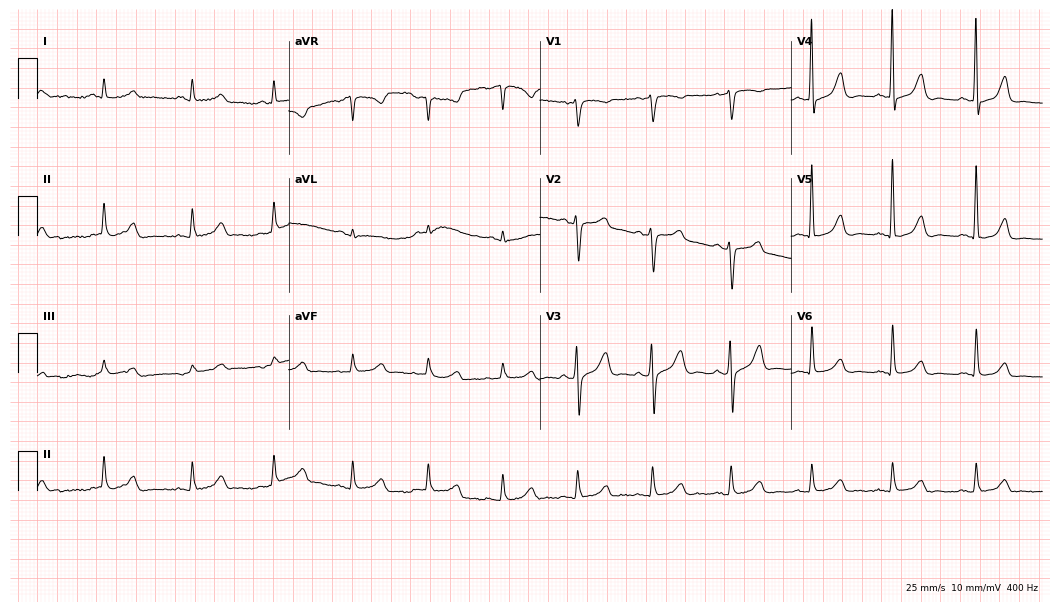
Standard 12-lead ECG recorded from a 69-year-old male patient (10.2-second recording at 400 Hz). None of these six findings is recorded: first-degree AV block, right bundle branch block (RBBB), left bundle branch block (LBBB), sinus bradycardia, atrial fibrillation (AF), sinus tachycardia.